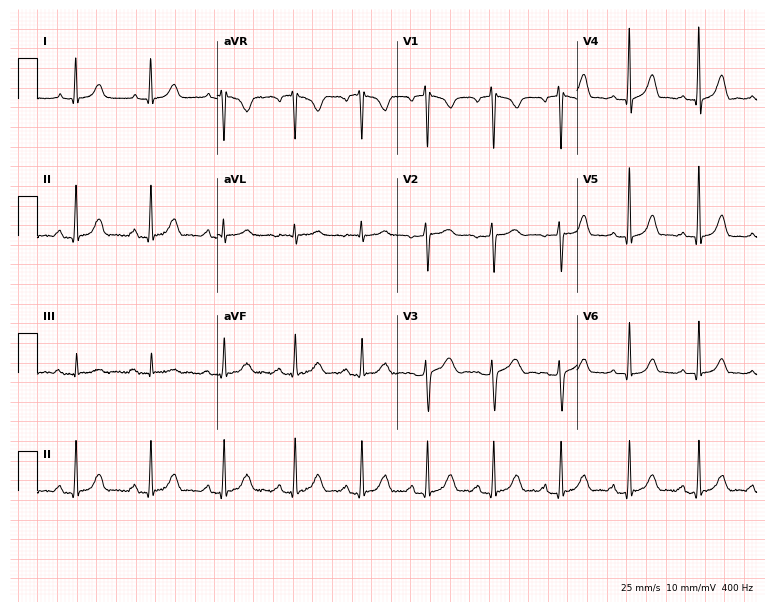
12-lead ECG from a female patient, 45 years old. Screened for six findings — first-degree AV block, right bundle branch block, left bundle branch block, sinus bradycardia, atrial fibrillation, sinus tachycardia — none is recorded.